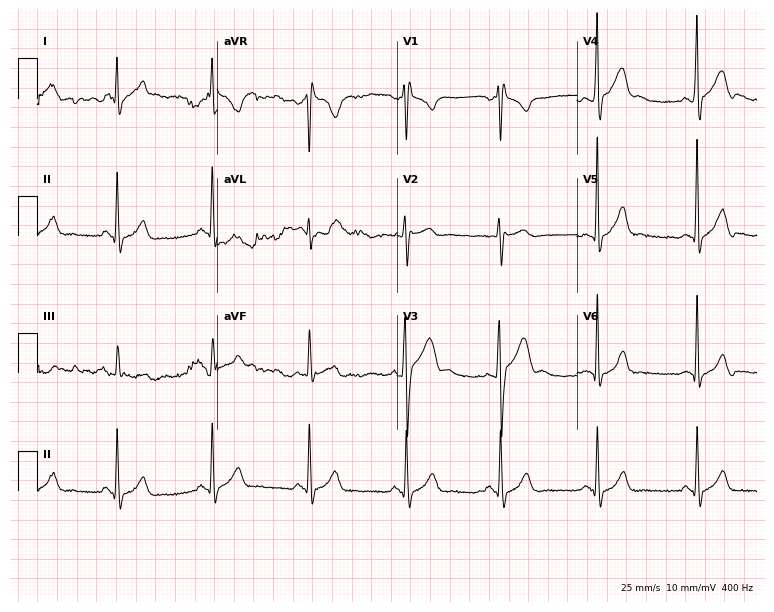
12-lead ECG from a 20-year-old male patient. No first-degree AV block, right bundle branch block (RBBB), left bundle branch block (LBBB), sinus bradycardia, atrial fibrillation (AF) or sinus tachycardia recorded for this tracing.